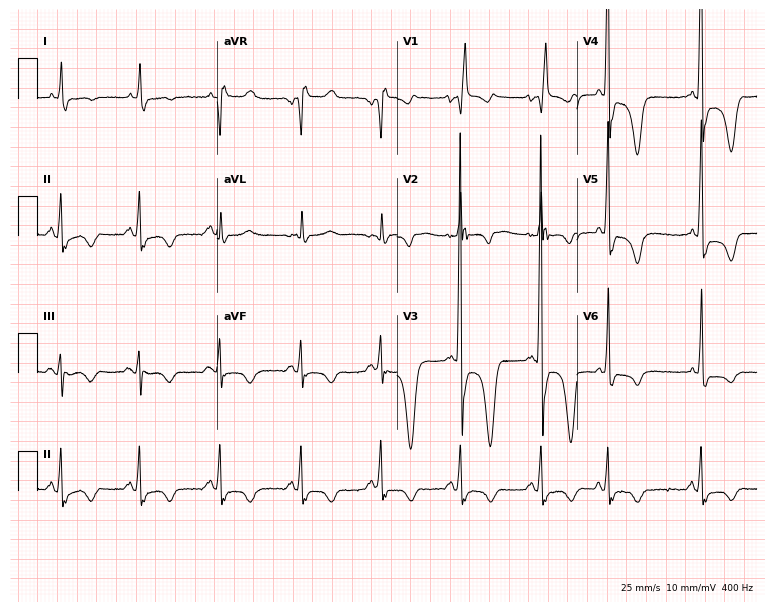
ECG (7.3-second recording at 400 Hz) — an 83-year-old female patient. Findings include right bundle branch block.